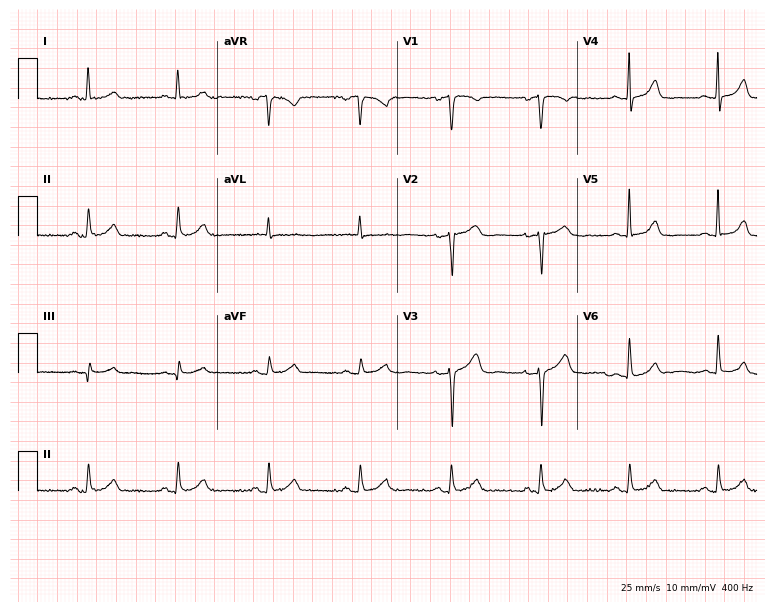
ECG — a woman, 62 years old. Labelled as a normal ECG.